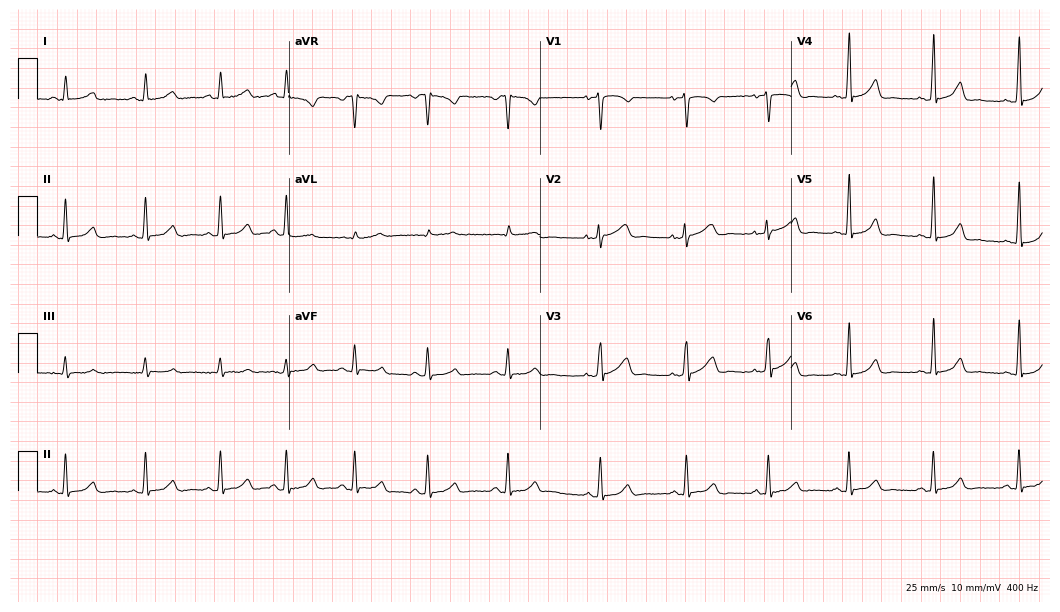
12-lead ECG from a 34-year-old female patient (10.2-second recording at 400 Hz). No first-degree AV block, right bundle branch block (RBBB), left bundle branch block (LBBB), sinus bradycardia, atrial fibrillation (AF) or sinus tachycardia recorded for this tracing. Only these six findings were labelled.